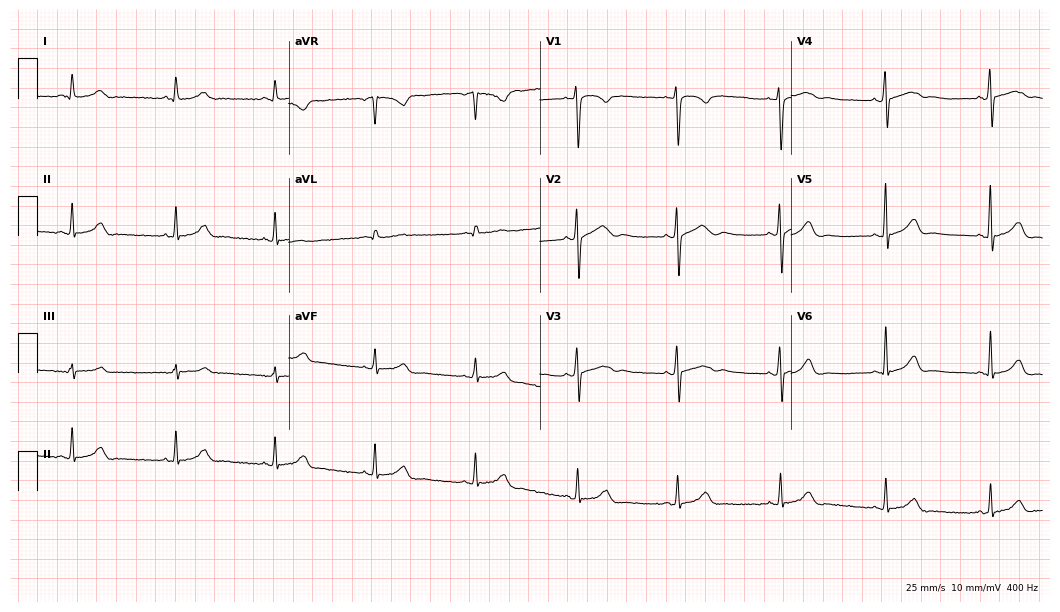
12-lead ECG from a 28-year-old woman. Labelled as a normal ECG.